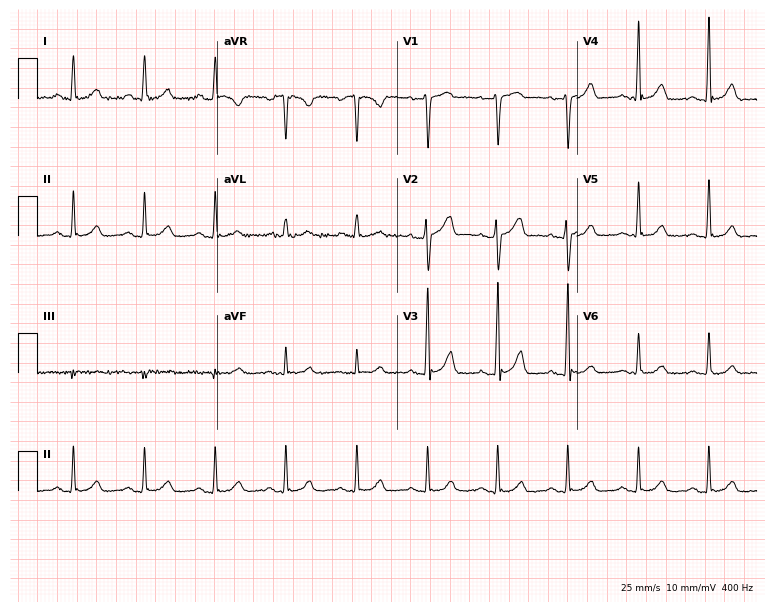
12-lead ECG from a 48-year-old woman (7.3-second recording at 400 Hz). Recorded interpretation: within normal limits.